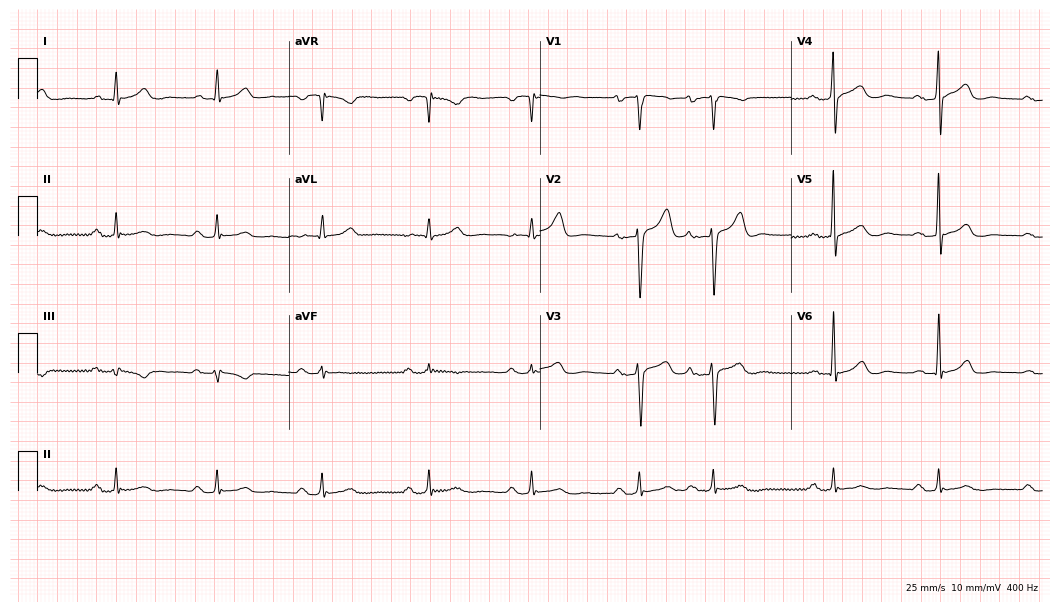
Resting 12-lead electrocardiogram (10.2-second recording at 400 Hz). Patient: a 57-year-old man. Read as a normal ECG.